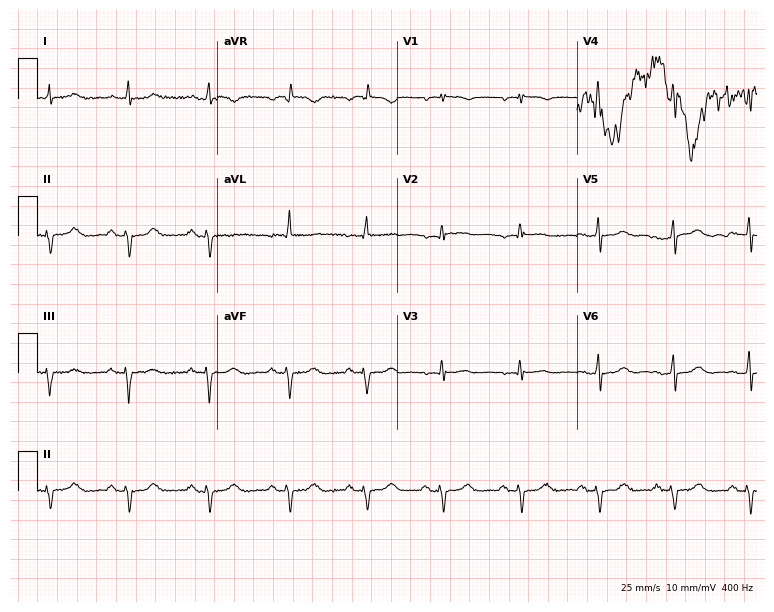
ECG (7.3-second recording at 400 Hz) — a female patient, 66 years old. Screened for six findings — first-degree AV block, right bundle branch block, left bundle branch block, sinus bradycardia, atrial fibrillation, sinus tachycardia — none is recorded. Findings outside these six are not listed.